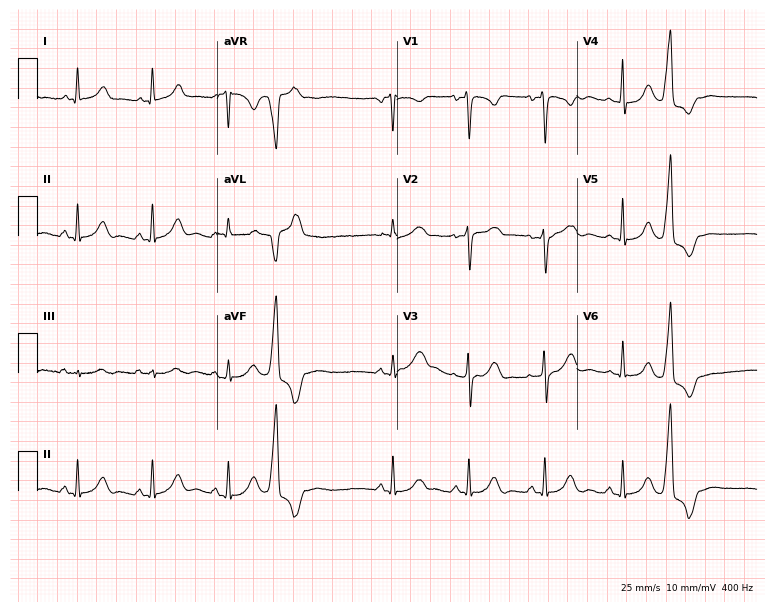
Resting 12-lead electrocardiogram (7.3-second recording at 400 Hz). Patient: a 36-year-old female. None of these six findings is recorded: first-degree AV block, right bundle branch block, left bundle branch block, sinus bradycardia, atrial fibrillation, sinus tachycardia.